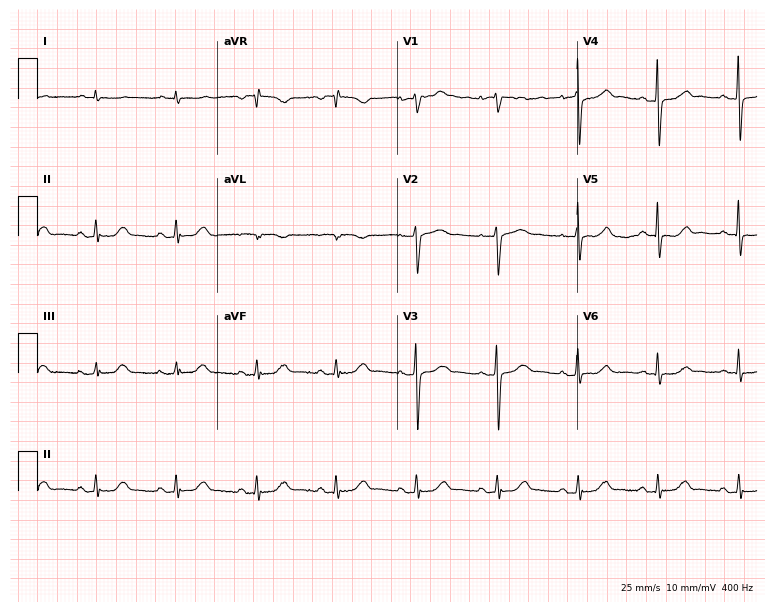
Standard 12-lead ECG recorded from a female, 60 years old. None of these six findings is recorded: first-degree AV block, right bundle branch block, left bundle branch block, sinus bradycardia, atrial fibrillation, sinus tachycardia.